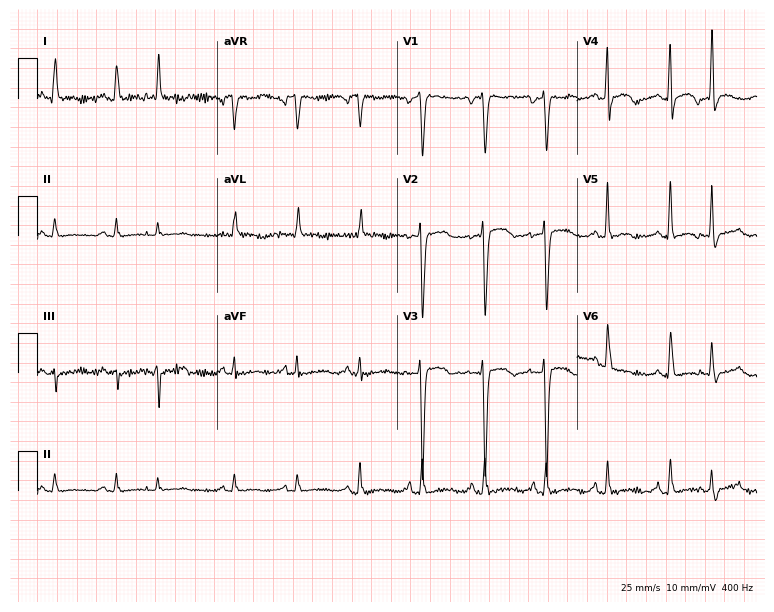
Standard 12-lead ECG recorded from a 54-year-old female (7.3-second recording at 400 Hz). None of these six findings is recorded: first-degree AV block, right bundle branch block (RBBB), left bundle branch block (LBBB), sinus bradycardia, atrial fibrillation (AF), sinus tachycardia.